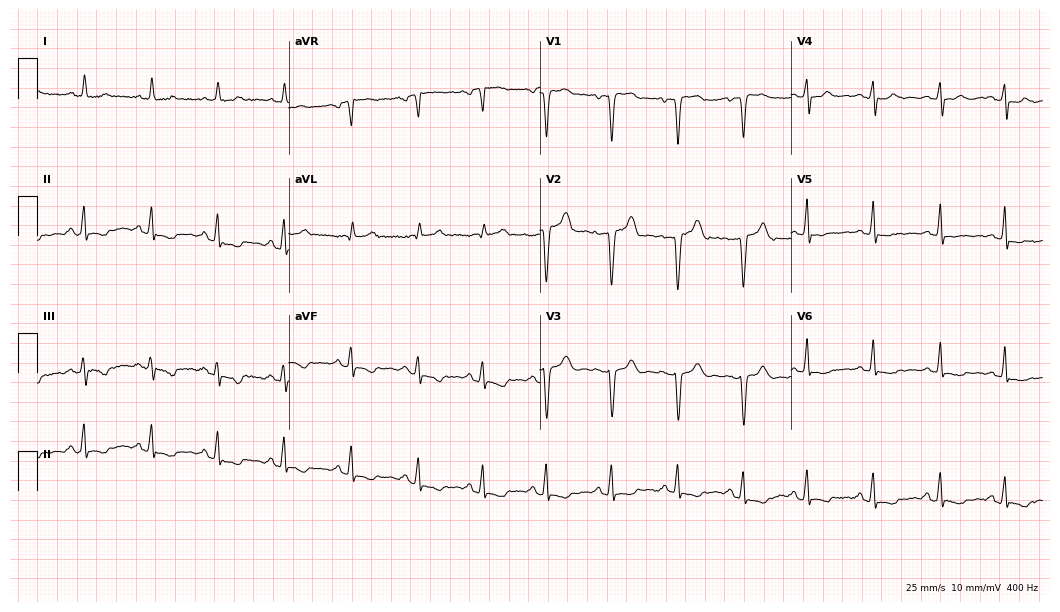
12-lead ECG from a woman, 48 years old (10.2-second recording at 400 Hz). No first-degree AV block, right bundle branch block (RBBB), left bundle branch block (LBBB), sinus bradycardia, atrial fibrillation (AF) or sinus tachycardia recorded for this tracing.